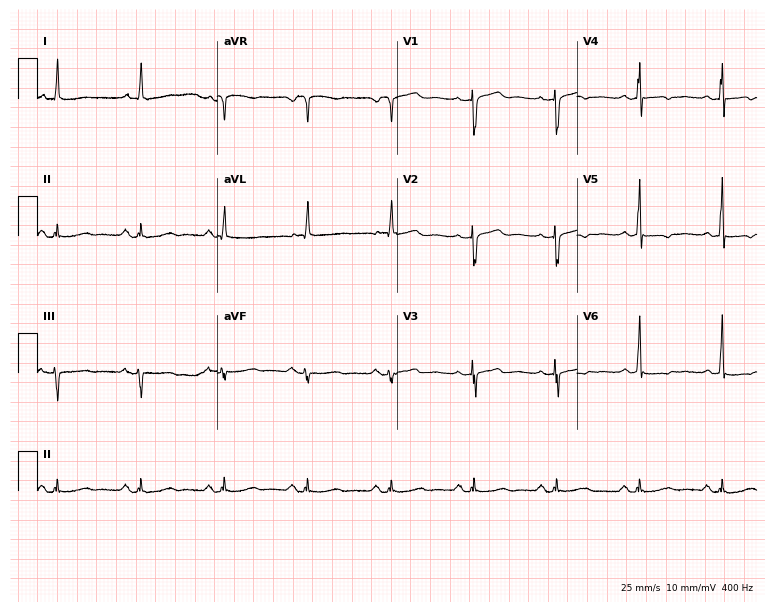
Electrocardiogram (7.3-second recording at 400 Hz), a 73-year-old male. Of the six screened findings (first-degree AV block, right bundle branch block, left bundle branch block, sinus bradycardia, atrial fibrillation, sinus tachycardia), none is recorded.